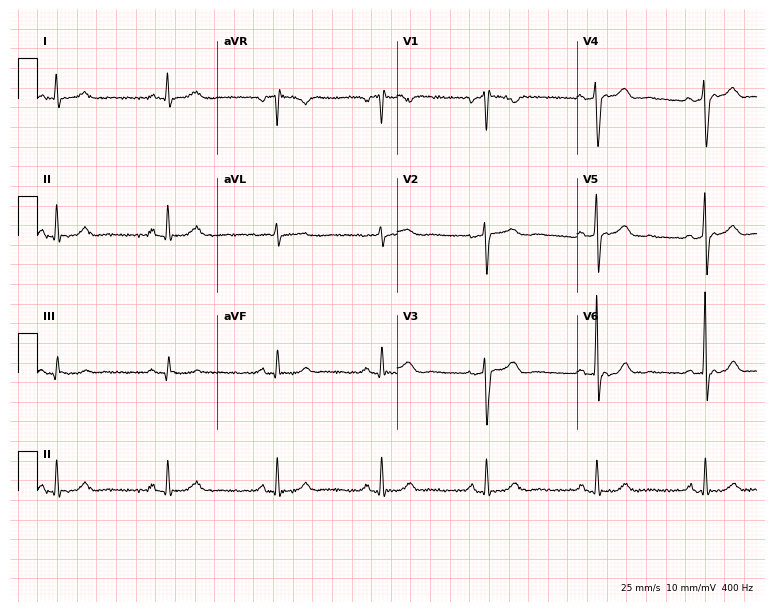
Resting 12-lead electrocardiogram. Patient: a man, 46 years old. None of these six findings is recorded: first-degree AV block, right bundle branch block, left bundle branch block, sinus bradycardia, atrial fibrillation, sinus tachycardia. Only these six findings were labelled.